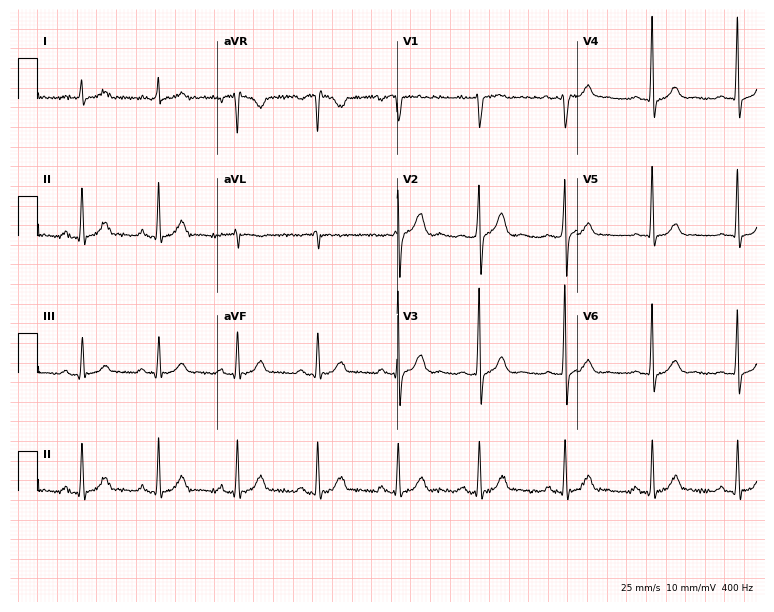
12-lead ECG from a 51-year-old man. Labelled as a normal ECG.